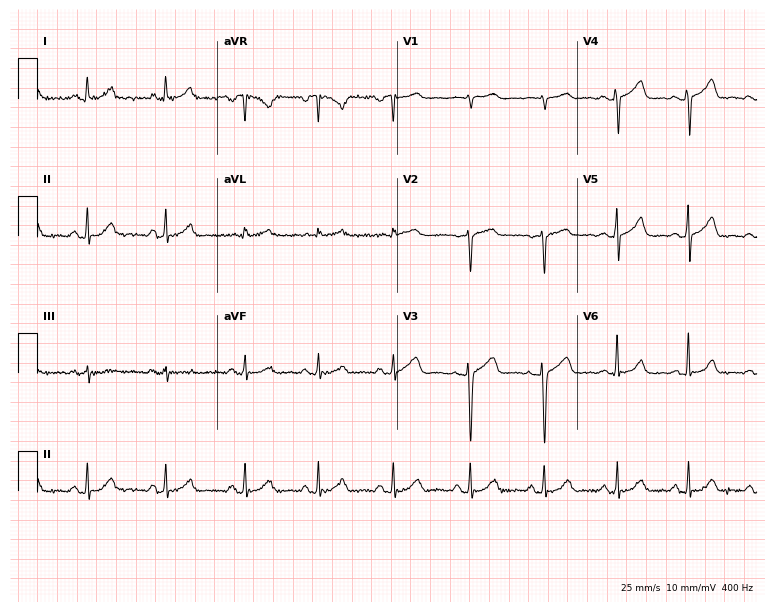
Standard 12-lead ECG recorded from a 45-year-old female patient (7.3-second recording at 400 Hz). Read as a normal ECG.